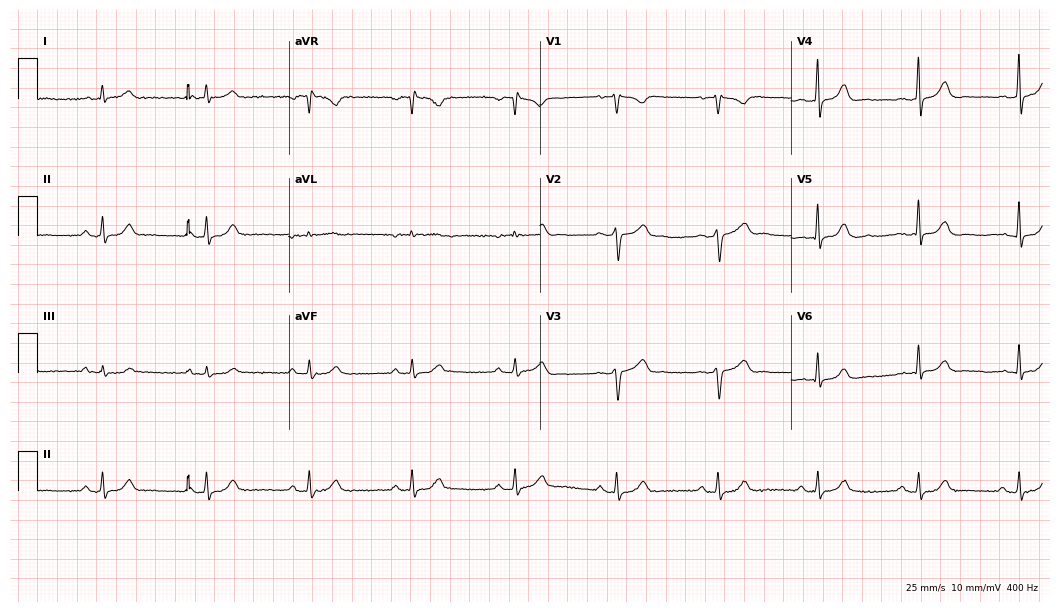
Standard 12-lead ECG recorded from a female, 45 years old (10.2-second recording at 400 Hz). None of these six findings is recorded: first-degree AV block, right bundle branch block (RBBB), left bundle branch block (LBBB), sinus bradycardia, atrial fibrillation (AF), sinus tachycardia. Findings outside these six are not listed.